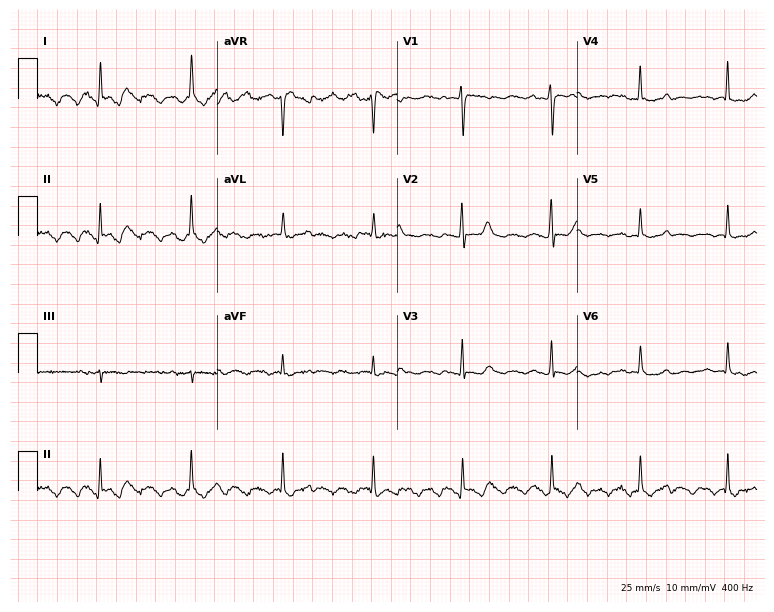
Electrocardiogram (7.3-second recording at 400 Hz), a female, 81 years old. Of the six screened findings (first-degree AV block, right bundle branch block, left bundle branch block, sinus bradycardia, atrial fibrillation, sinus tachycardia), none is recorded.